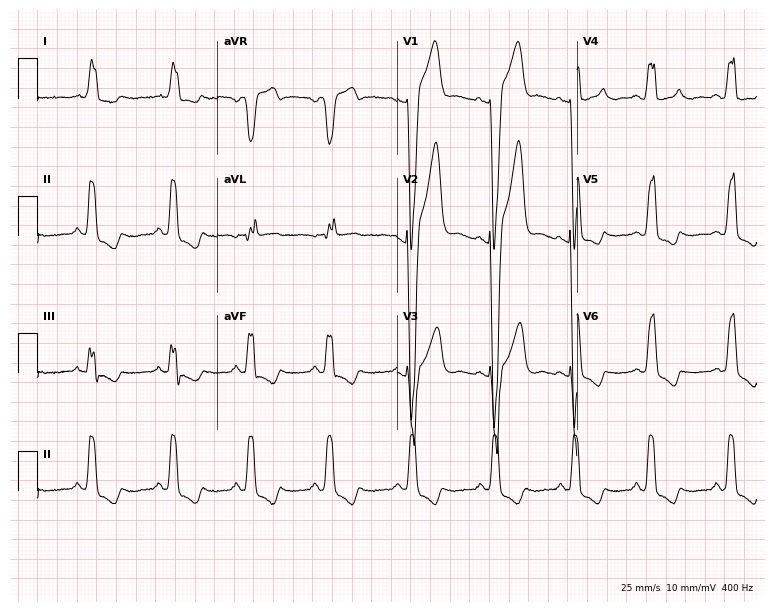
12-lead ECG from a man, 29 years old. Findings include left bundle branch block.